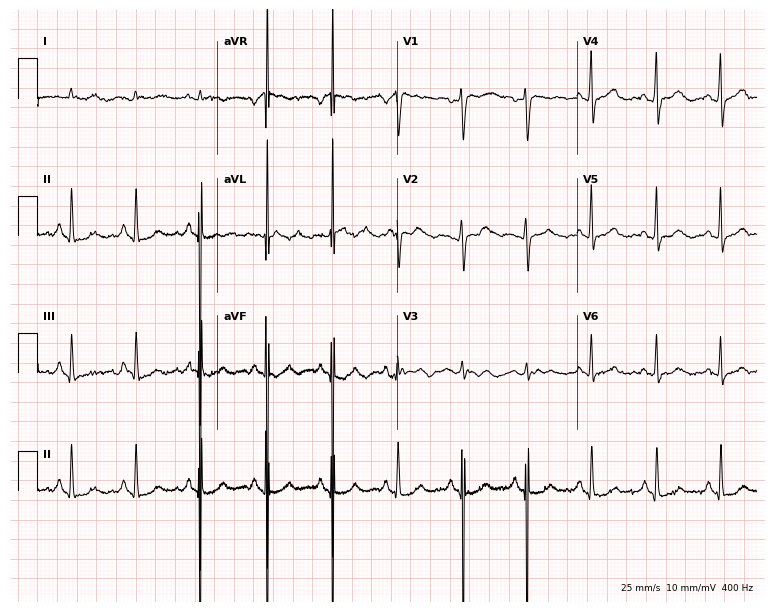
12-lead ECG from a woman, 67 years old. Recorded interpretation: within normal limits.